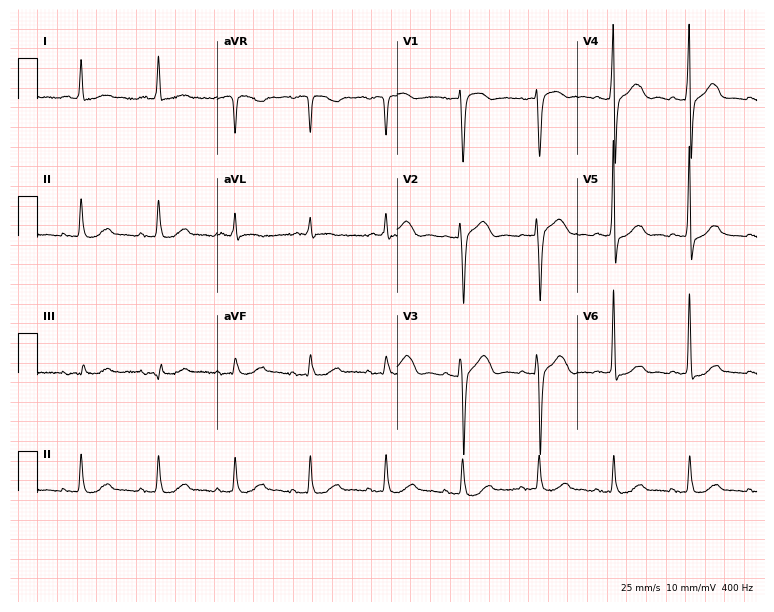
Standard 12-lead ECG recorded from a 53-year-old female (7.3-second recording at 400 Hz). None of these six findings is recorded: first-degree AV block, right bundle branch block (RBBB), left bundle branch block (LBBB), sinus bradycardia, atrial fibrillation (AF), sinus tachycardia. Findings outside these six are not listed.